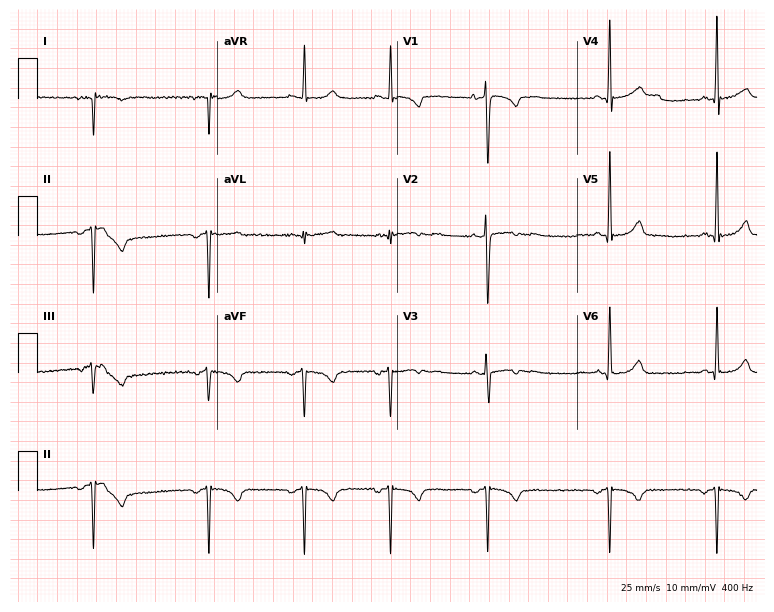
12-lead ECG from a female patient, 20 years old. No first-degree AV block, right bundle branch block, left bundle branch block, sinus bradycardia, atrial fibrillation or sinus tachycardia recorded for this tracing.